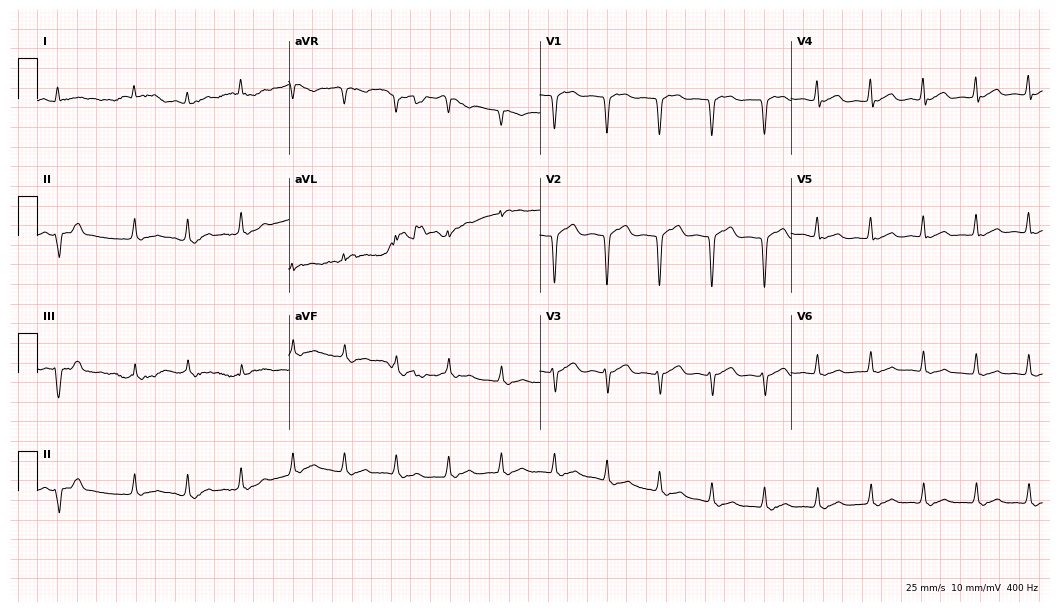
12-lead ECG from a 57-year-old male patient. Findings include sinus tachycardia (a sinus rate of 100 beats per minute or more).